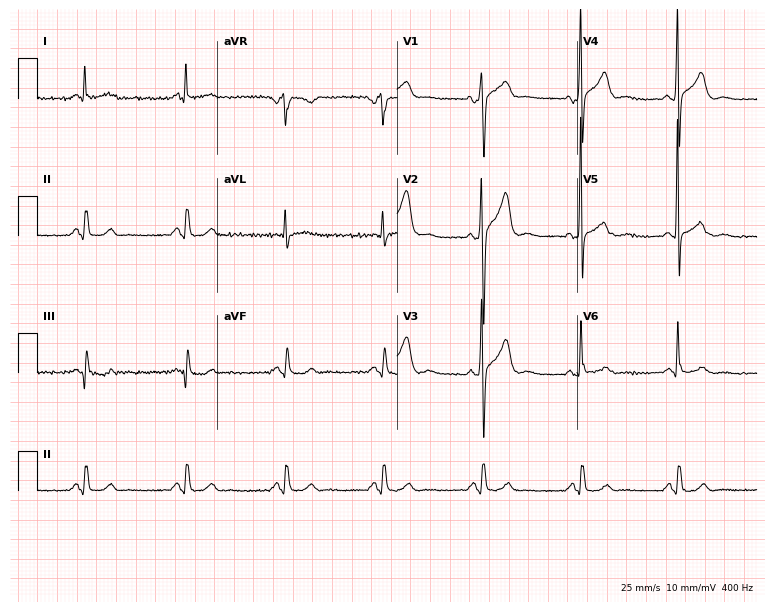
12-lead ECG from a man, 65 years old. Screened for six findings — first-degree AV block, right bundle branch block, left bundle branch block, sinus bradycardia, atrial fibrillation, sinus tachycardia — none is recorded. Other findings, if any, are not listed.